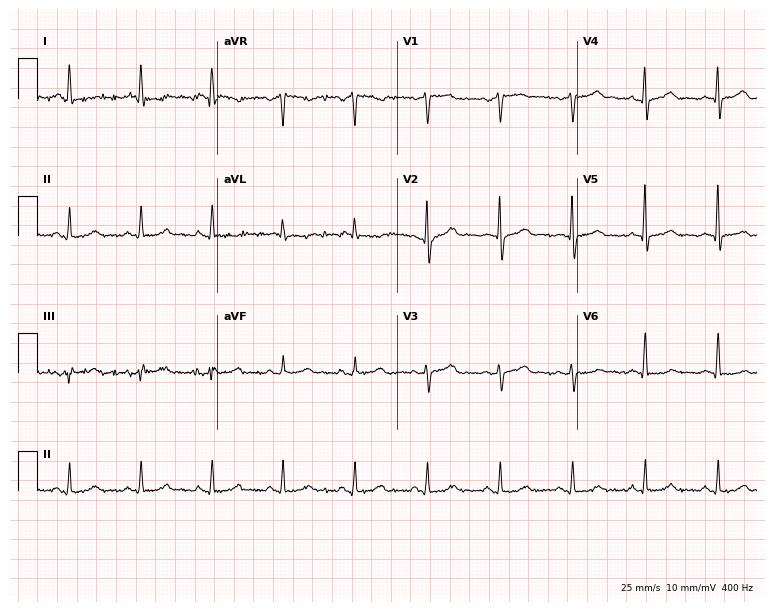
ECG (7.3-second recording at 400 Hz) — a man, 61 years old. Labelled as a normal ECG.